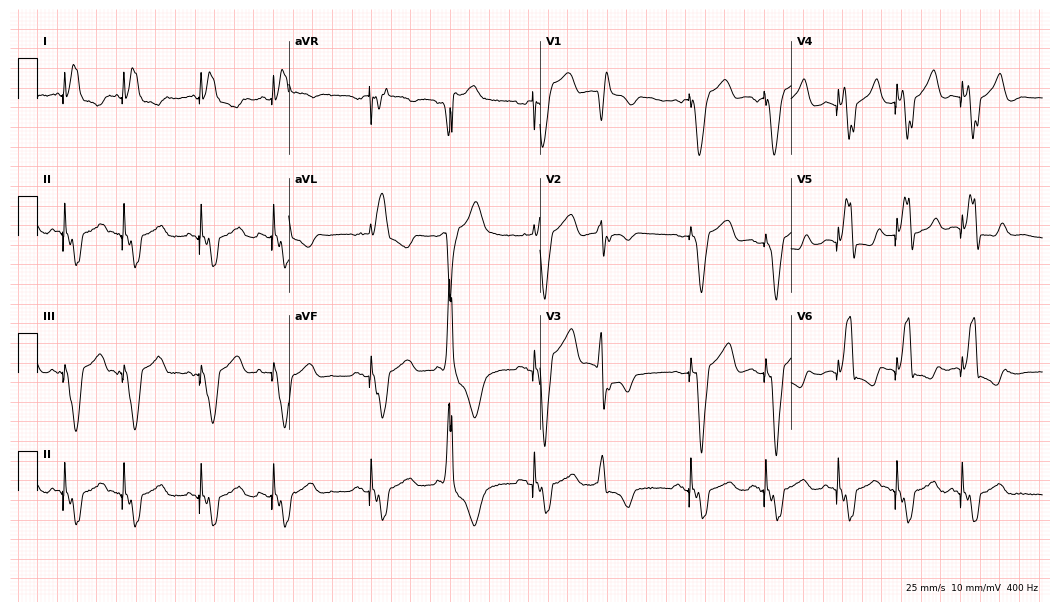
Standard 12-lead ECG recorded from a 73-year-old male patient (10.2-second recording at 400 Hz). None of these six findings is recorded: first-degree AV block, right bundle branch block, left bundle branch block, sinus bradycardia, atrial fibrillation, sinus tachycardia.